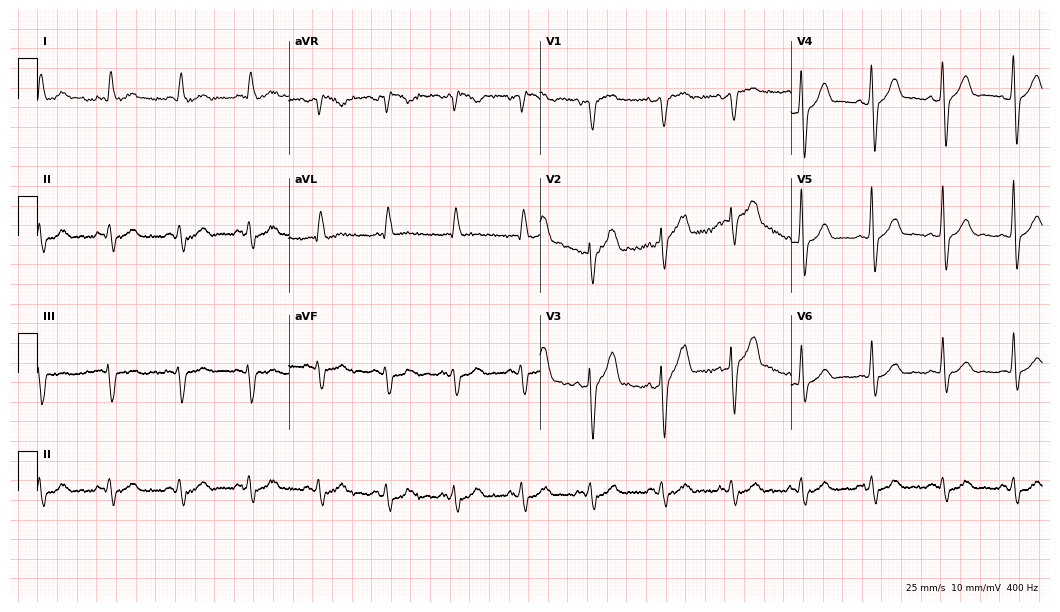
Standard 12-lead ECG recorded from a 62-year-old male patient. None of these six findings is recorded: first-degree AV block, right bundle branch block, left bundle branch block, sinus bradycardia, atrial fibrillation, sinus tachycardia.